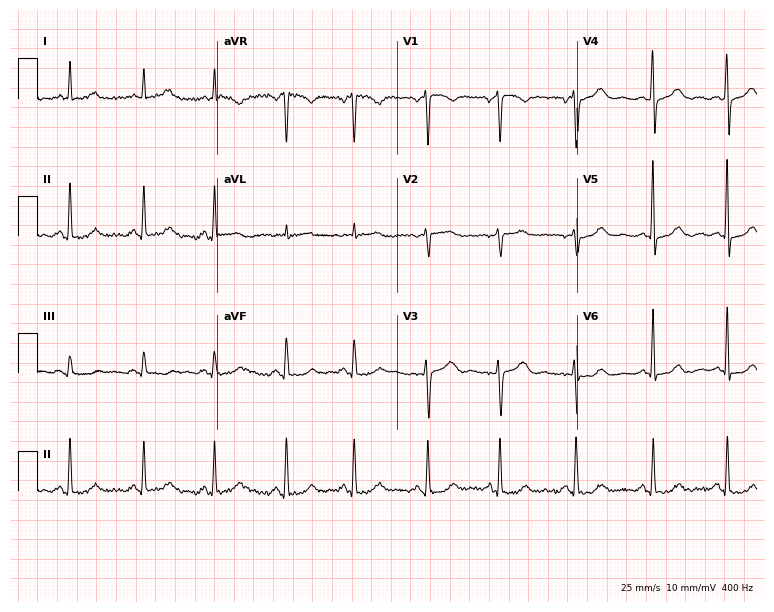
Electrocardiogram (7.3-second recording at 400 Hz), a 33-year-old woman. Of the six screened findings (first-degree AV block, right bundle branch block (RBBB), left bundle branch block (LBBB), sinus bradycardia, atrial fibrillation (AF), sinus tachycardia), none is recorded.